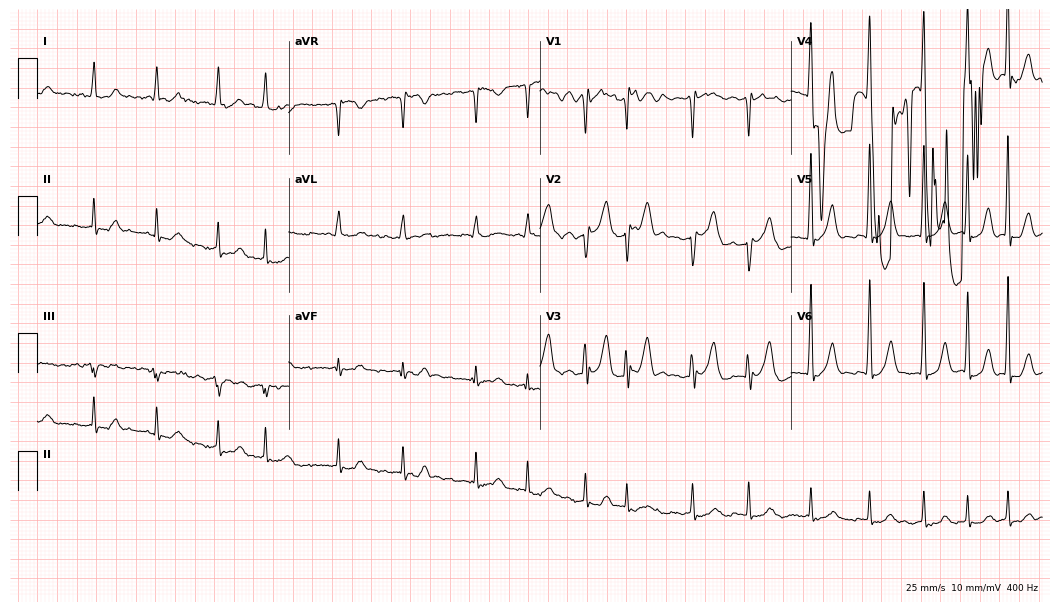
ECG (10.2-second recording at 400 Hz) — an 81-year-old male. Findings include atrial fibrillation (AF).